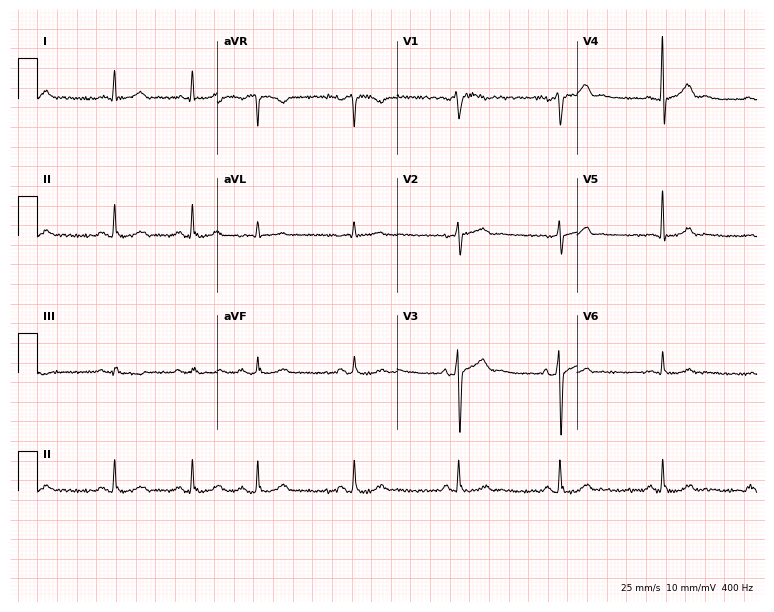
12-lead ECG from a man, 61 years old. Labelled as a normal ECG.